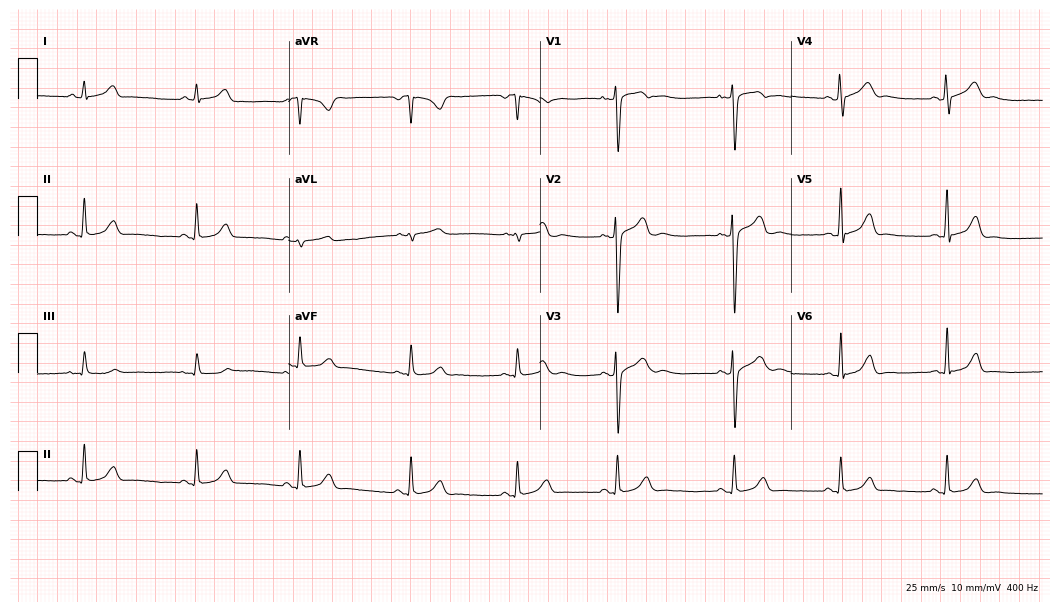
Electrocardiogram (10.2-second recording at 400 Hz), a 29-year-old female patient. Of the six screened findings (first-degree AV block, right bundle branch block (RBBB), left bundle branch block (LBBB), sinus bradycardia, atrial fibrillation (AF), sinus tachycardia), none is recorded. Only these six findings were labelled.